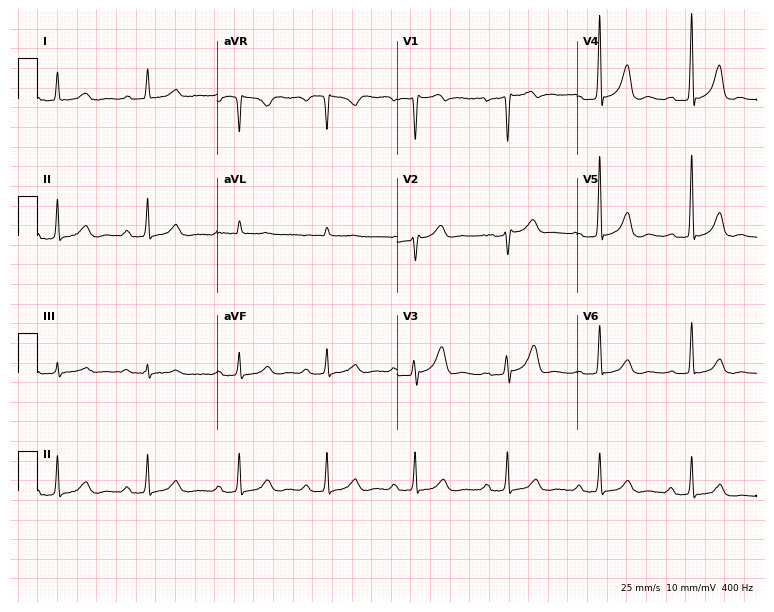
12-lead ECG from a male patient, 52 years old (7.3-second recording at 400 Hz). No first-degree AV block, right bundle branch block (RBBB), left bundle branch block (LBBB), sinus bradycardia, atrial fibrillation (AF) or sinus tachycardia recorded for this tracing.